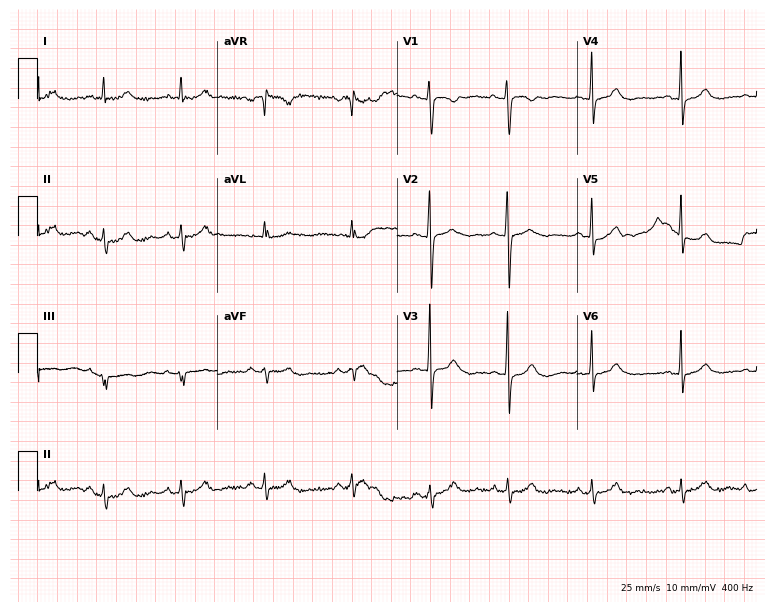
Resting 12-lead electrocardiogram (7.3-second recording at 400 Hz). Patient: a 22-year-old female. None of these six findings is recorded: first-degree AV block, right bundle branch block, left bundle branch block, sinus bradycardia, atrial fibrillation, sinus tachycardia.